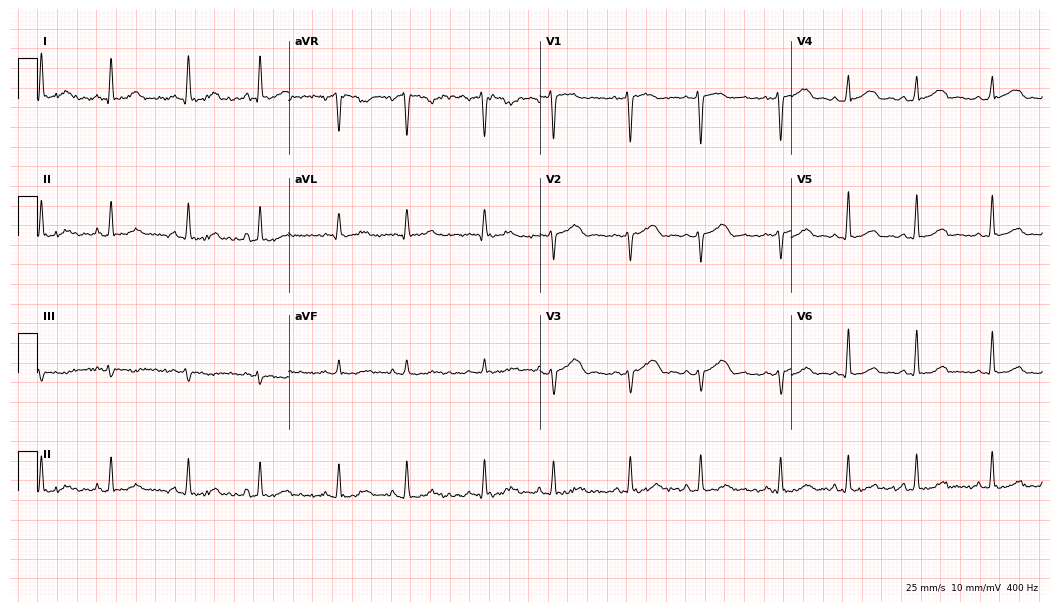
Resting 12-lead electrocardiogram (10.2-second recording at 400 Hz). Patient: a 41-year-old female. Read as a normal ECG.